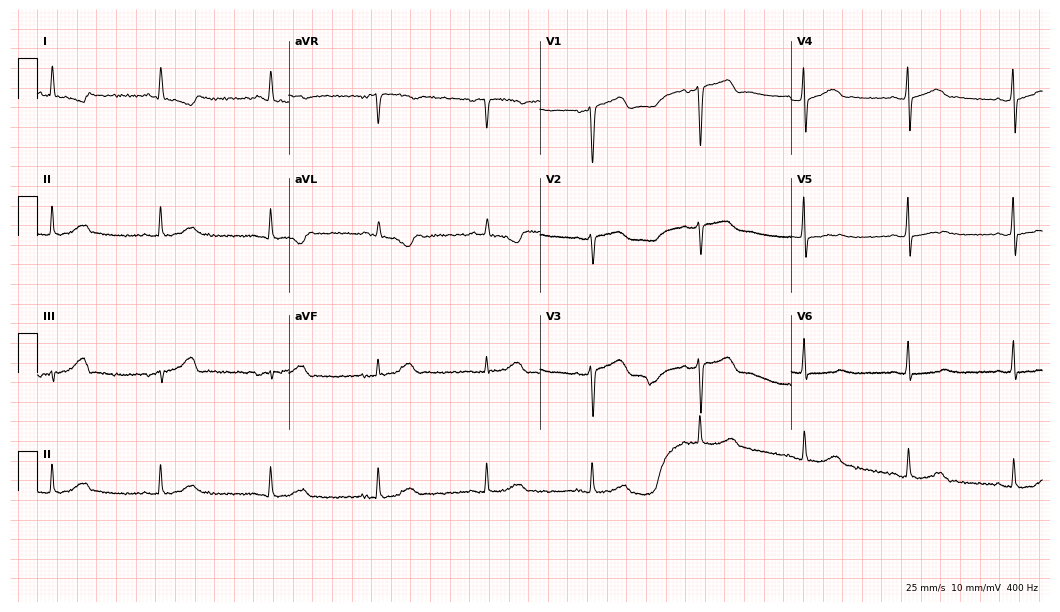
12-lead ECG from a 66-year-old female patient. Screened for six findings — first-degree AV block, right bundle branch block, left bundle branch block, sinus bradycardia, atrial fibrillation, sinus tachycardia — none is recorded.